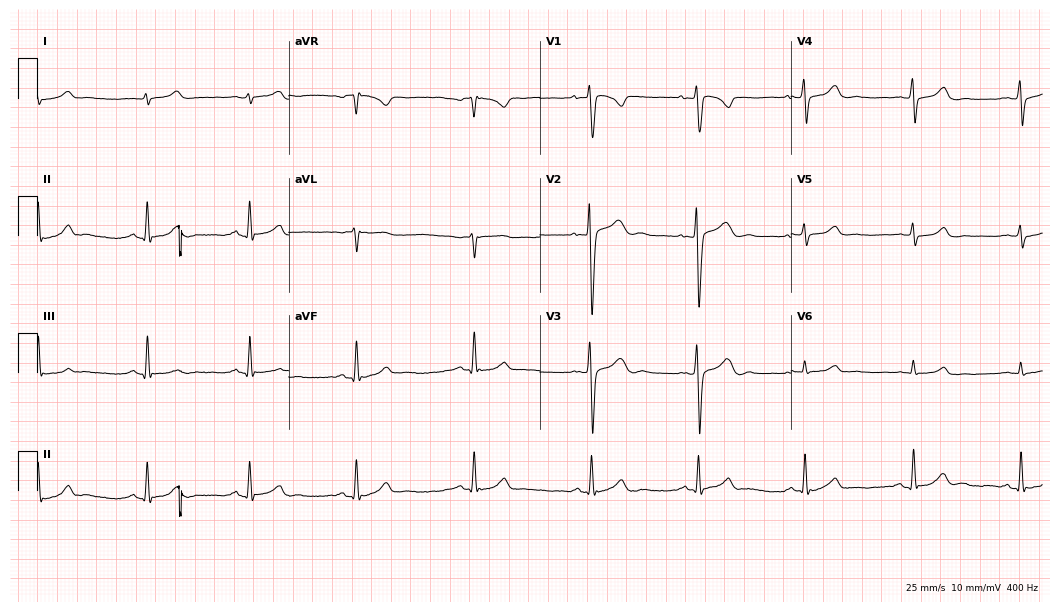
ECG (10.2-second recording at 400 Hz) — a man, 27 years old. Labelled as a normal ECG.